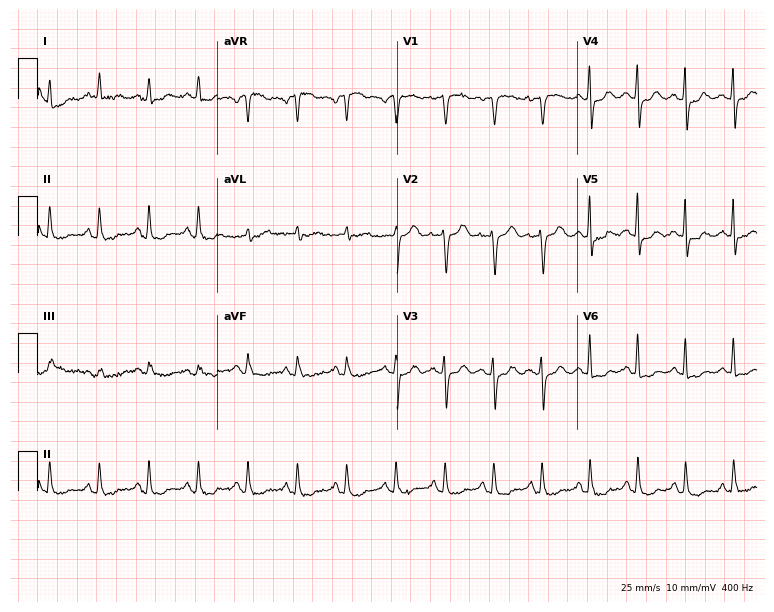
Electrocardiogram, a female patient, 64 years old. Interpretation includes sinus tachycardia (a sinus rate of 100 beats per minute or more).